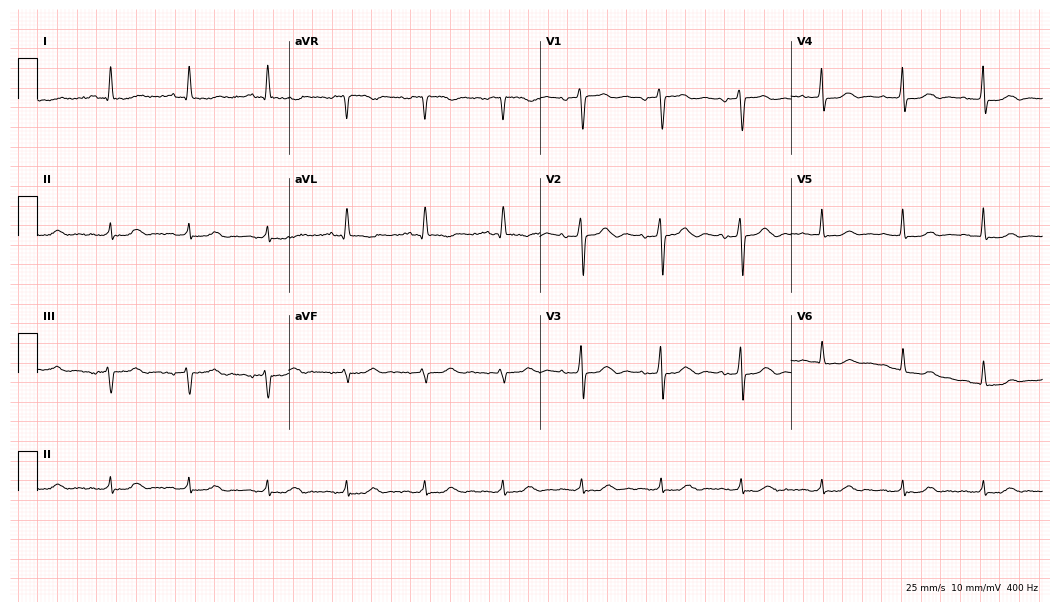
Standard 12-lead ECG recorded from an 83-year-old woman (10.2-second recording at 400 Hz). None of these six findings is recorded: first-degree AV block, right bundle branch block, left bundle branch block, sinus bradycardia, atrial fibrillation, sinus tachycardia.